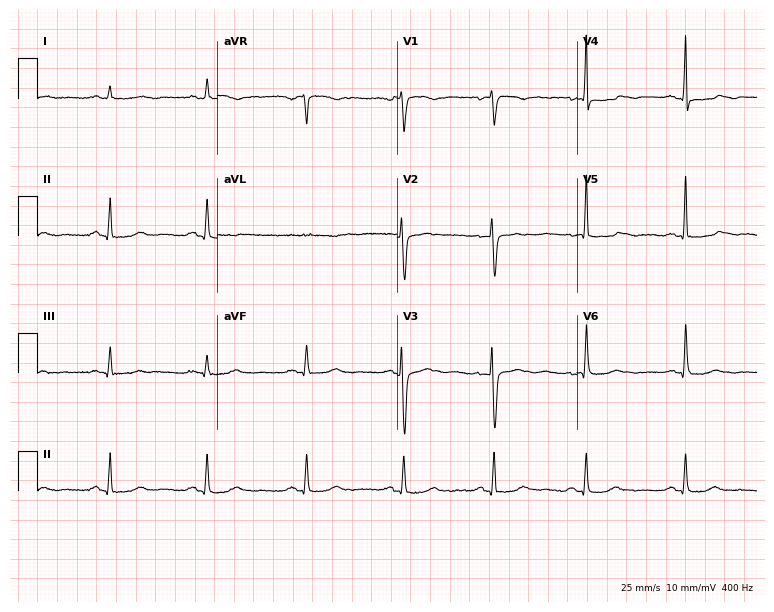
12-lead ECG from a 53-year-old woman. No first-degree AV block, right bundle branch block (RBBB), left bundle branch block (LBBB), sinus bradycardia, atrial fibrillation (AF) or sinus tachycardia recorded for this tracing.